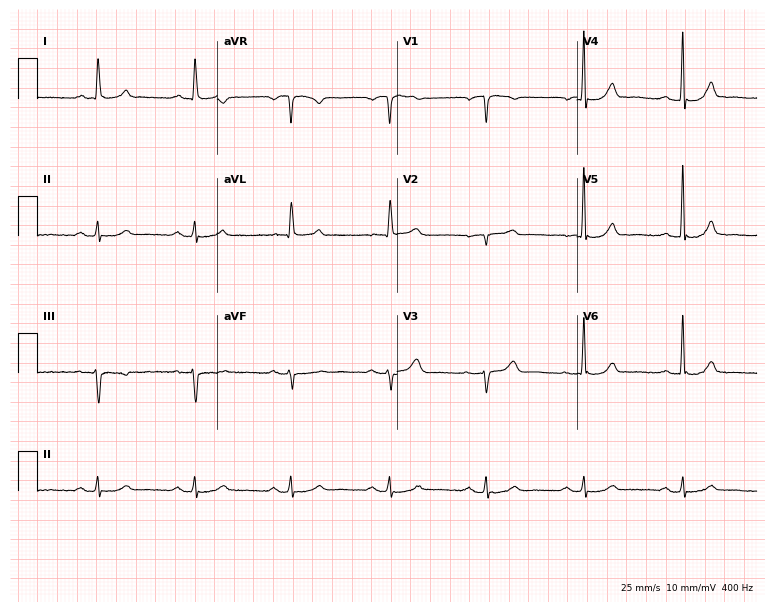
ECG — a woman, 78 years old. Screened for six findings — first-degree AV block, right bundle branch block (RBBB), left bundle branch block (LBBB), sinus bradycardia, atrial fibrillation (AF), sinus tachycardia — none is recorded. Findings outside these six are not listed.